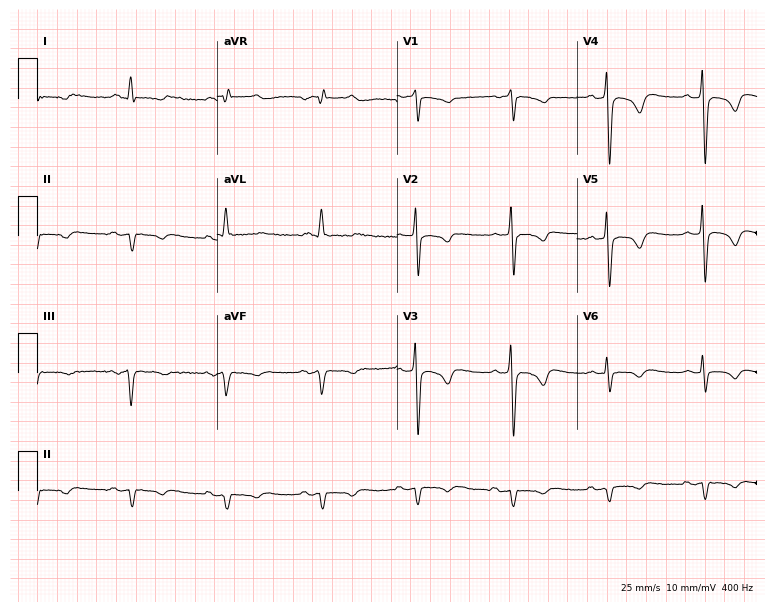
12-lead ECG from a 71-year-old male. Screened for six findings — first-degree AV block, right bundle branch block, left bundle branch block, sinus bradycardia, atrial fibrillation, sinus tachycardia — none is recorded. Only these six findings were labelled.